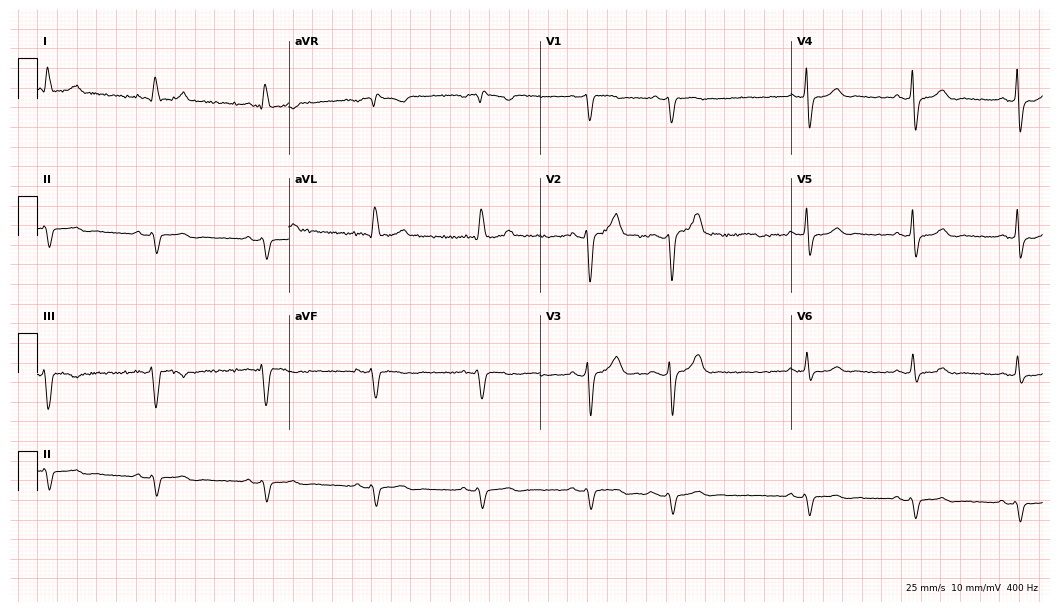
Resting 12-lead electrocardiogram (10.2-second recording at 400 Hz). Patient: a 71-year-old man. None of these six findings is recorded: first-degree AV block, right bundle branch block, left bundle branch block, sinus bradycardia, atrial fibrillation, sinus tachycardia.